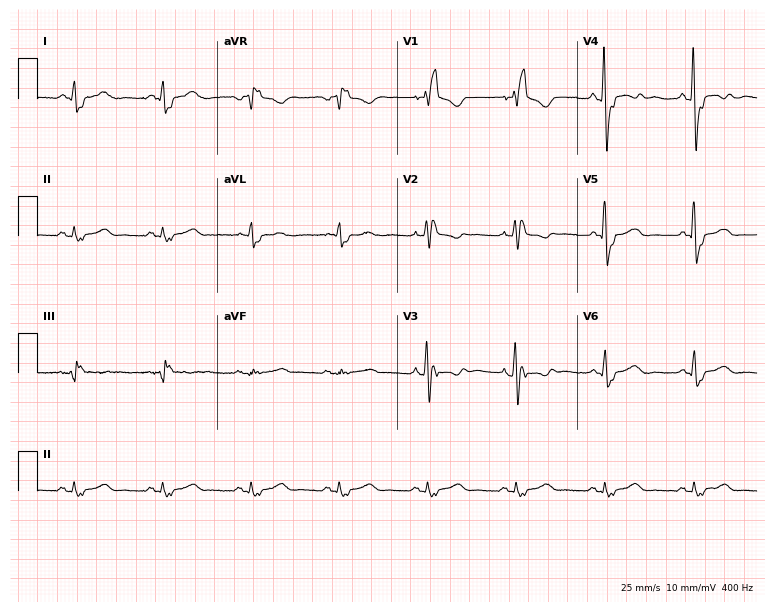
Electrocardiogram, a 77-year-old male patient. Interpretation includes right bundle branch block.